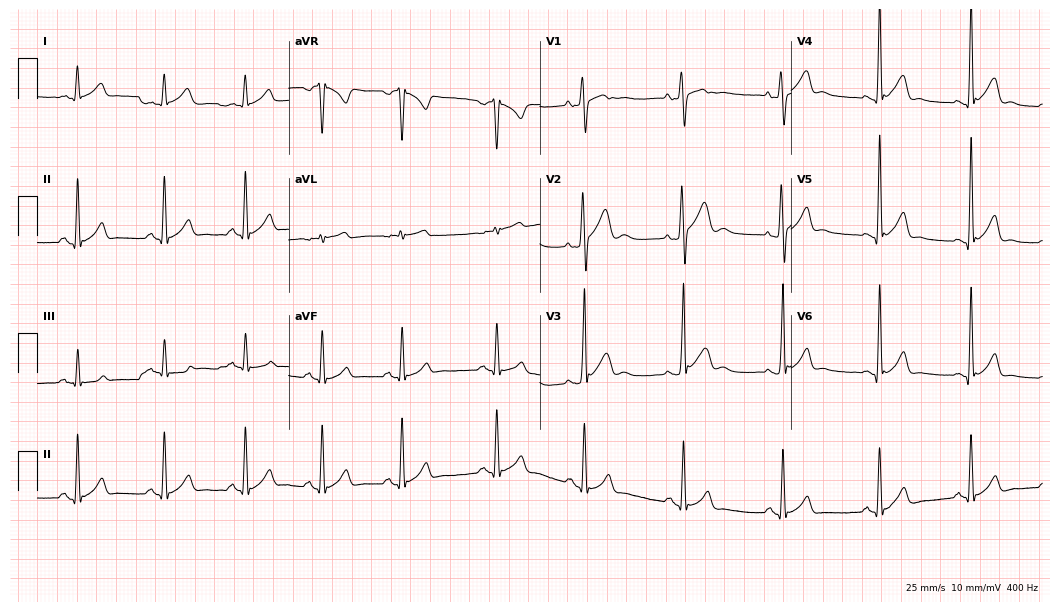
12-lead ECG from a male patient, 19 years old. Recorded interpretation: within normal limits.